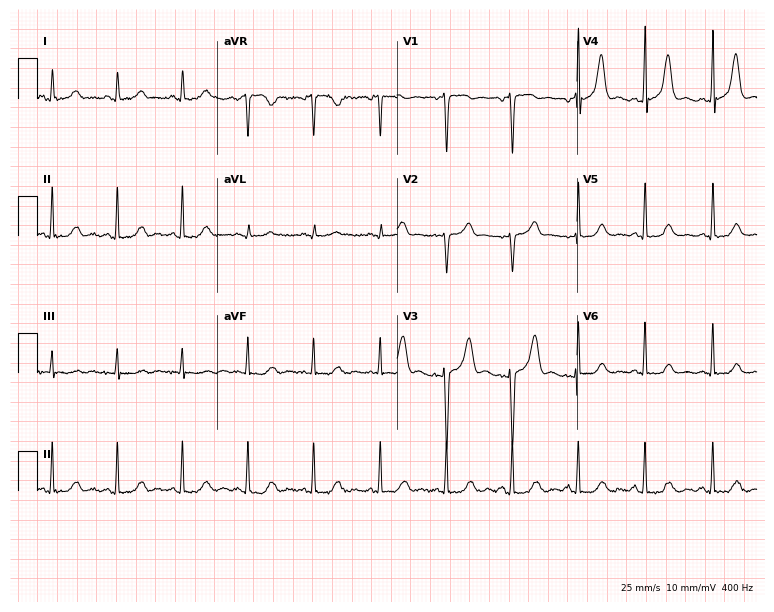
Resting 12-lead electrocardiogram. Patient: a female, 48 years old. None of these six findings is recorded: first-degree AV block, right bundle branch block, left bundle branch block, sinus bradycardia, atrial fibrillation, sinus tachycardia.